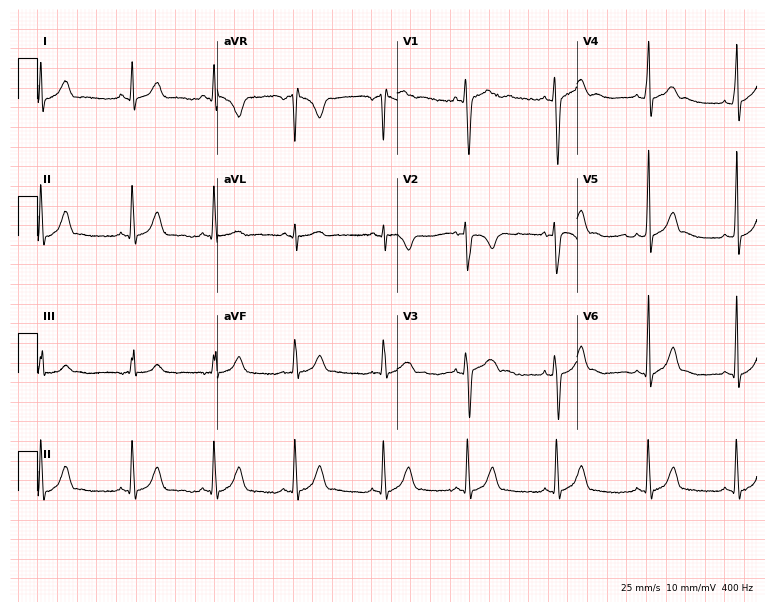
ECG — a 20-year-old man. Labelled as a normal ECG.